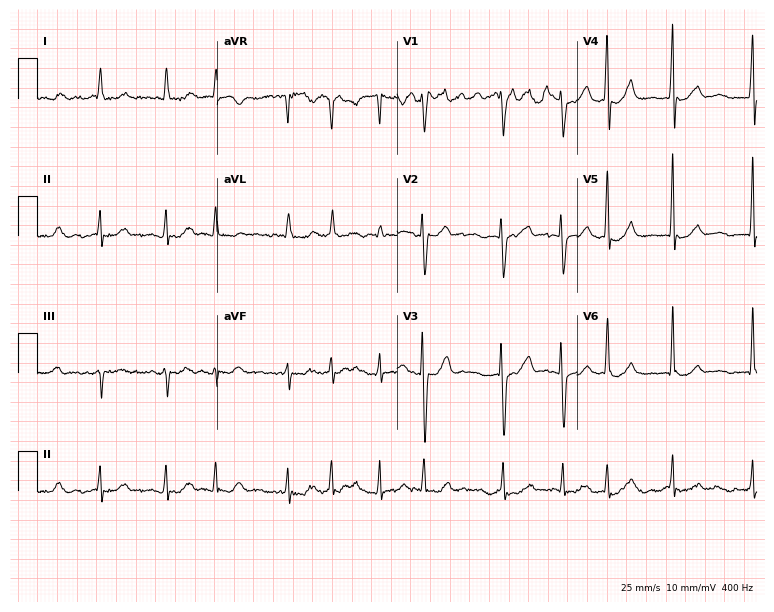
Electrocardiogram, a female patient, 77 years old. Interpretation includes atrial fibrillation (AF).